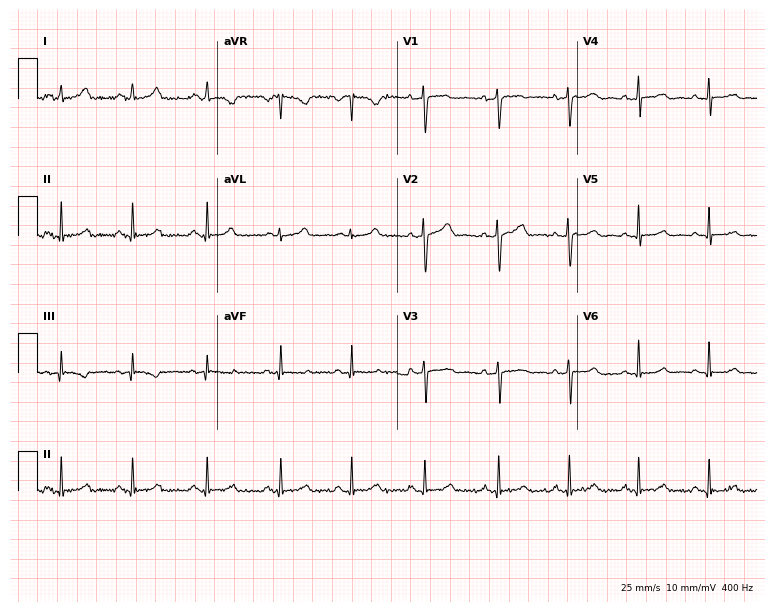
Resting 12-lead electrocardiogram (7.3-second recording at 400 Hz). Patient: a 43-year-old female. None of these six findings is recorded: first-degree AV block, right bundle branch block, left bundle branch block, sinus bradycardia, atrial fibrillation, sinus tachycardia. Only these six findings were labelled.